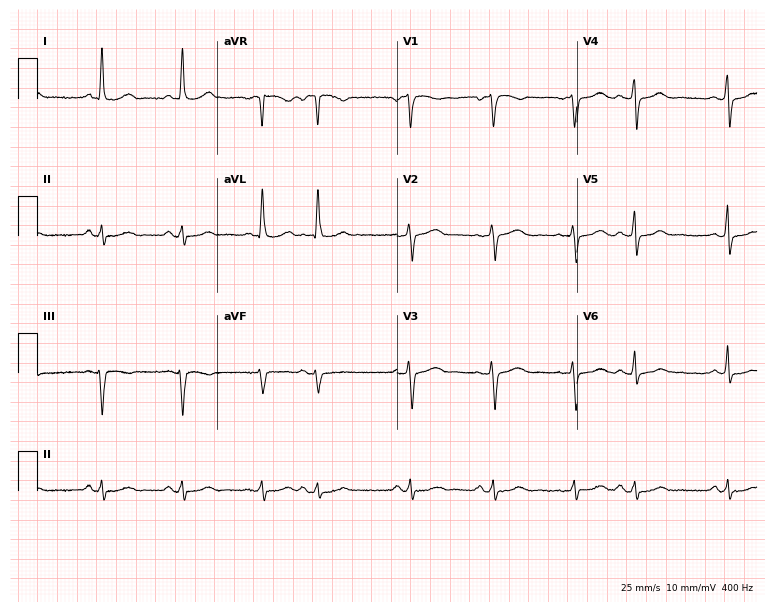
Electrocardiogram, a 66-year-old female patient. Of the six screened findings (first-degree AV block, right bundle branch block (RBBB), left bundle branch block (LBBB), sinus bradycardia, atrial fibrillation (AF), sinus tachycardia), none is recorded.